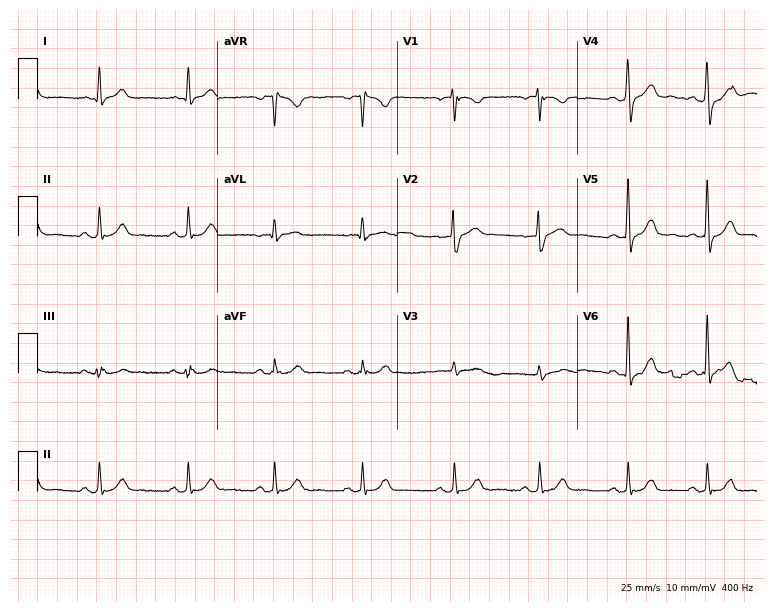
Standard 12-lead ECG recorded from a man, 40 years old. None of these six findings is recorded: first-degree AV block, right bundle branch block (RBBB), left bundle branch block (LBBB), sinus bradycardia, atrial fibrillation (AF), sinus tachycardia. Other findings, if any, are not listed.